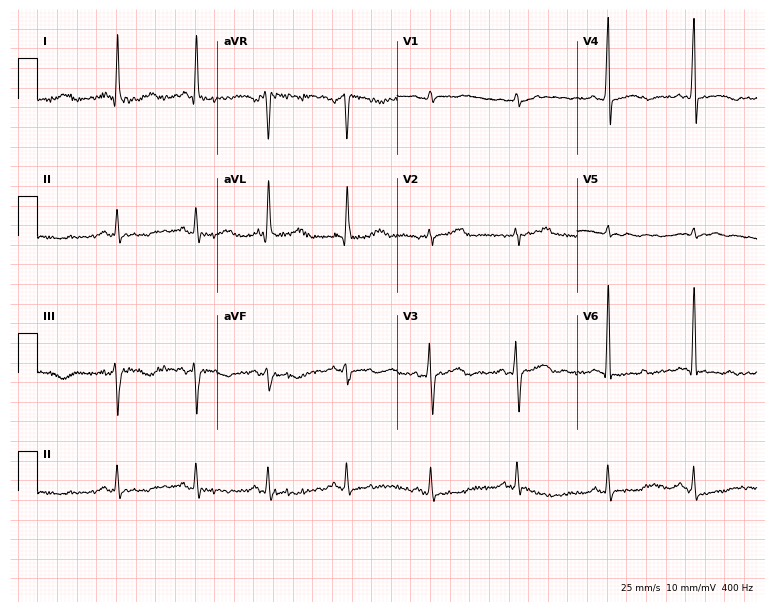
12-lead ECG from a 59-year-old male patient. Labelled as a normal ECG.